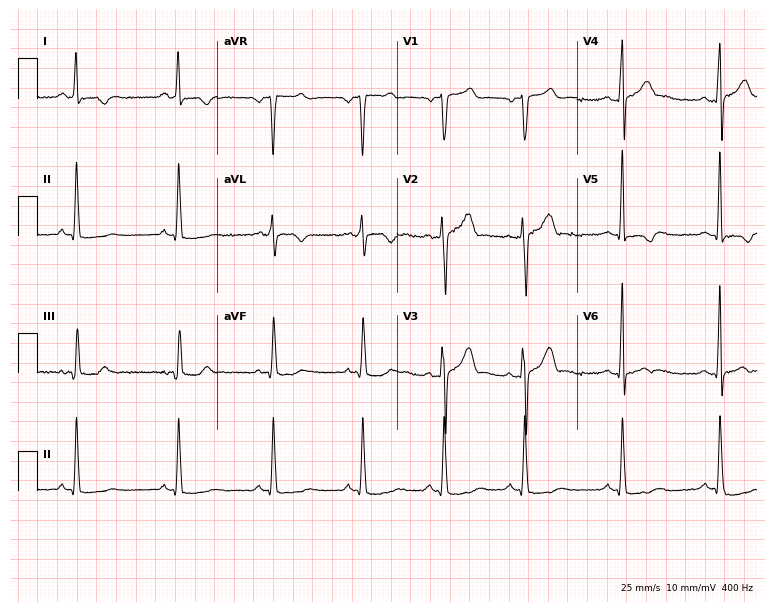
ECG (7.3-second recording at 400 Hz) — a 26-year-old male. Screened for six findings — first-degree AV block, right bundle branch block, left bundle branch block, sinus bradycardia, atrial fibrillation, sinus tachycardia — none is recorded.